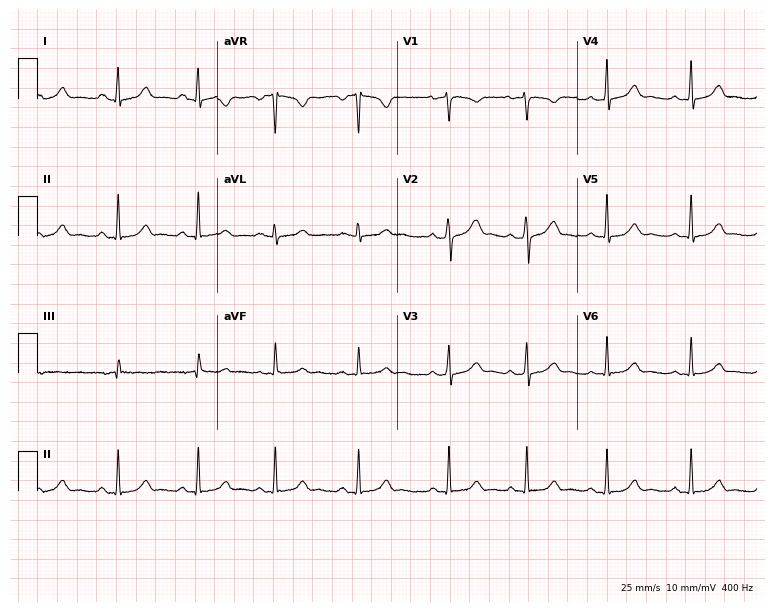
Standard 12-lead ECG recorded from an 18-year-old female (7.3-second recording at 400 Hz). Read as a normal ECG.